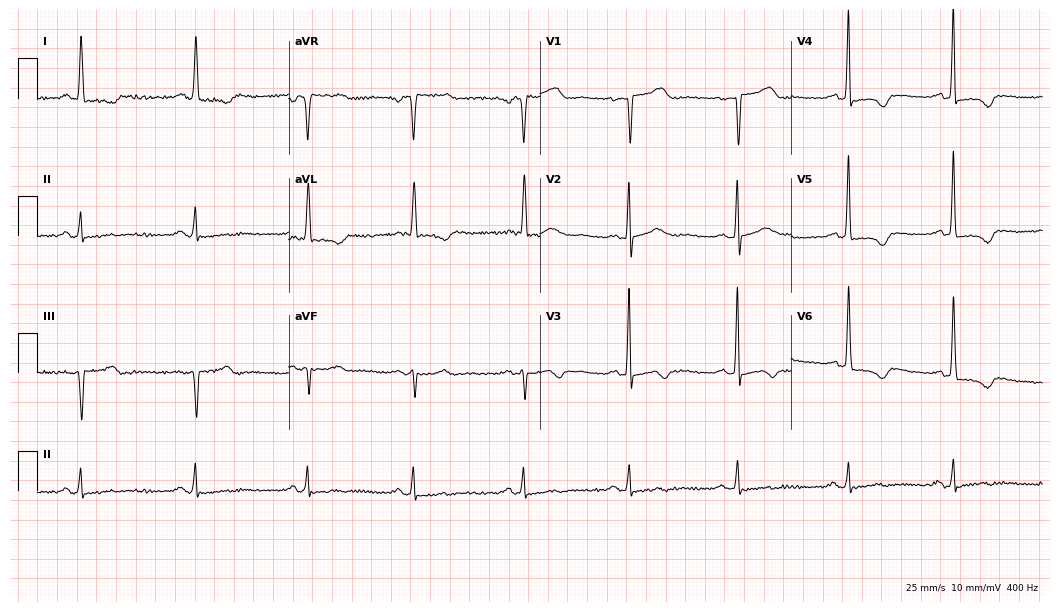
ECG — a 62-year-old female patient. Screened for six findings — first-degree AV block, right bundle branch block (RBBB), left bundle branch block (LBBB), sinus bradycardia, atrial fibrillation (AF), sinus tachycardia — none is recorded.